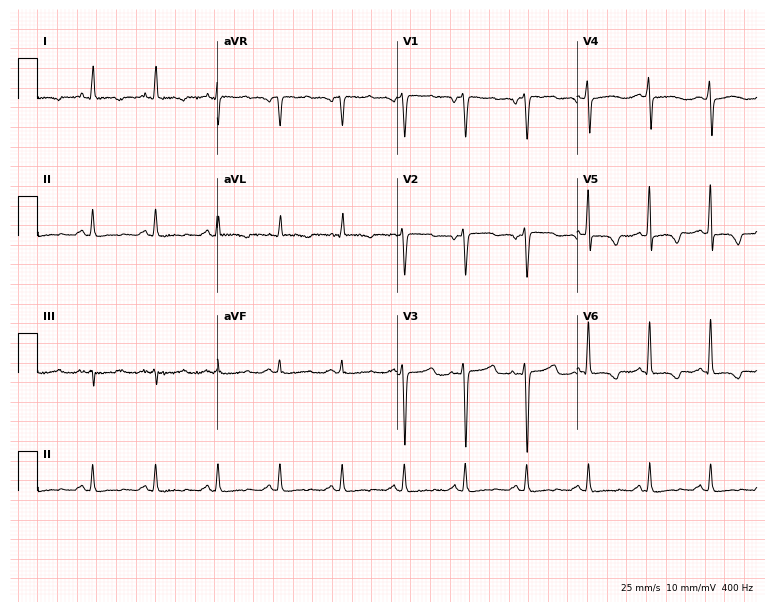
Standard 12-lead ECG recorded from a woman, 60 years old (7.3-second recording at 400 Hz). None of these six findings is recorded: first-degree AV block, right bundle branch block, left bundle branch block, sinus bradycardia, atrial fibrillation, sinus tachycardia.